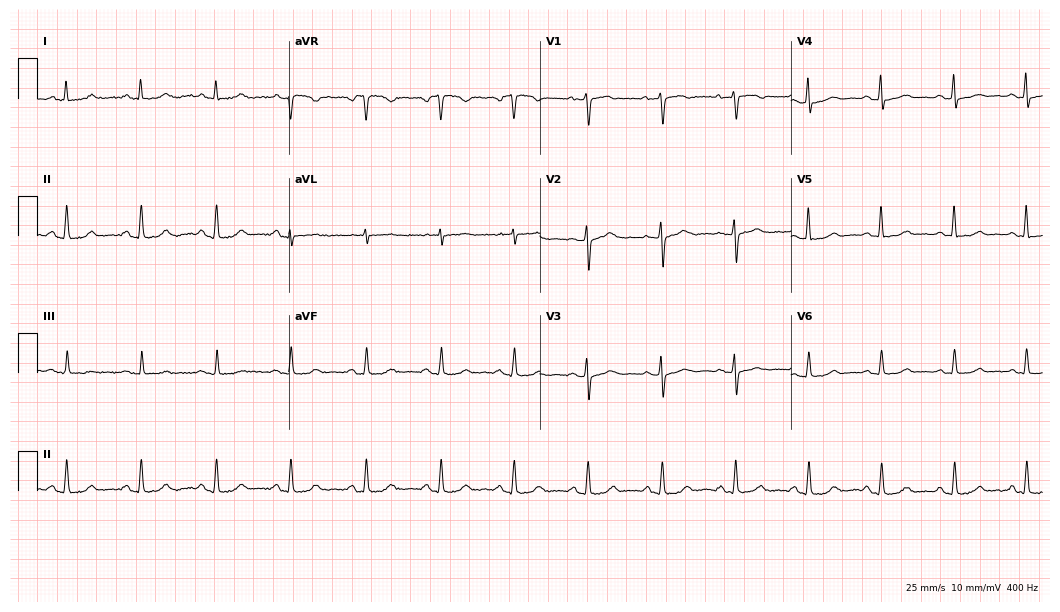
12-lead ECG from a female, 63 years old. No first-degree AV block, right bundle branch block (RBBB), left bundle branch block (LBBB), sinus bradycardia, atrial fibrillation (AF) or sinus tachycardia recorded for this tracing.